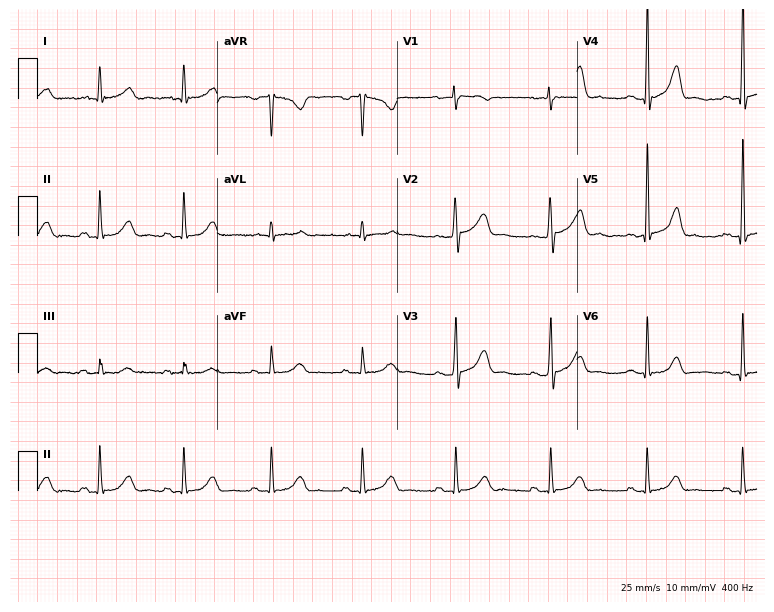
Resting 12-lead electrocardiogram (7.3-second recording at 400 Hz). Patient: a 55-year-old female. Read as a normal ECG.